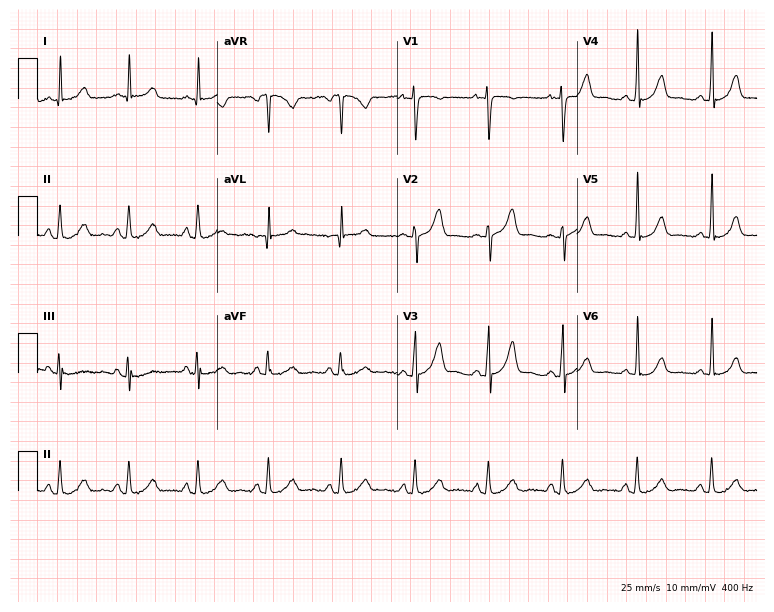
Resting 12-lead electrocardiogram (7.3-second recording at 400 Hz). Patient: a 23-year-old female. Read as a normal ECG.